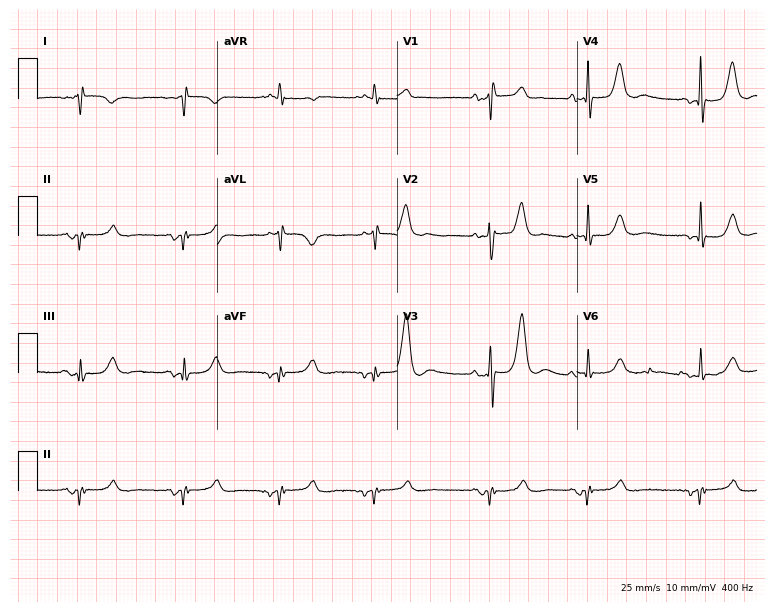
Standard 12-lead ECG recorded from an 85-year-old female patient. None of these six findings is recorded: first-degree AV block, right bundle branch block, left bundle branch block, sinus bradycardia, atrial fibrillation, sinus tachycardia.